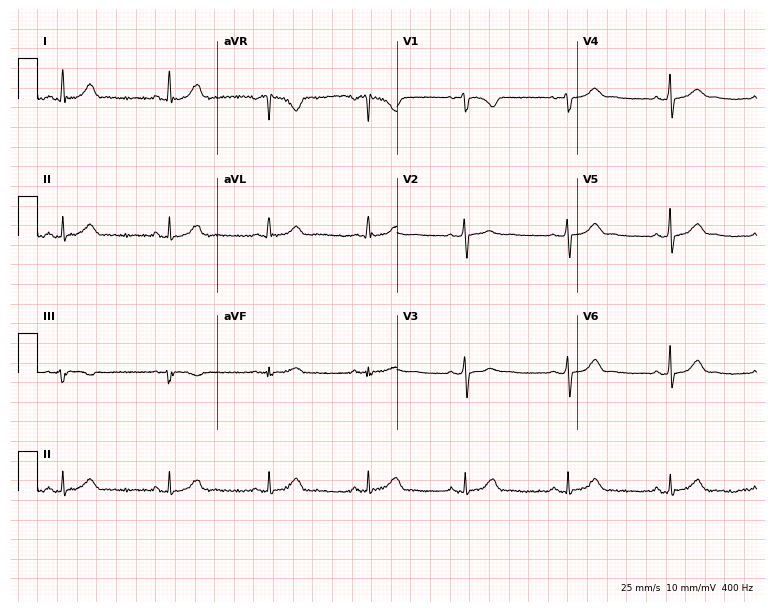
Standard 12-lead ECG recorded from a woman, 38 years old (7.3-second recording at 400 Hz). Read as a normal ECG.